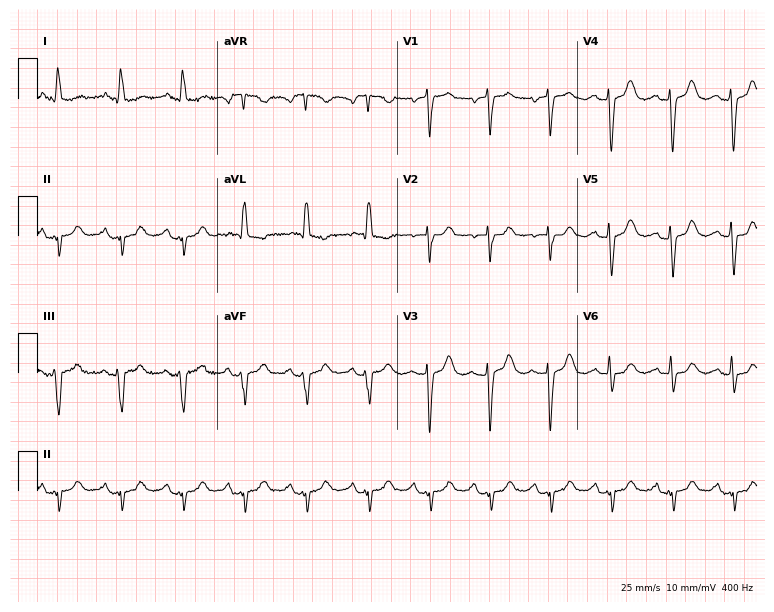
Standard 12-lead ECG recorded from a woman, 78 years old (7.3-second recording at 400 Hz). None of these six findings is recorded: first-degree AV block, right bundle branch block (RBBB), left bundle branch block (LBBB), sinus bradycardia, atrial fibrillation (AF), sinus tachycardia. Other findings, if any, are not listed.